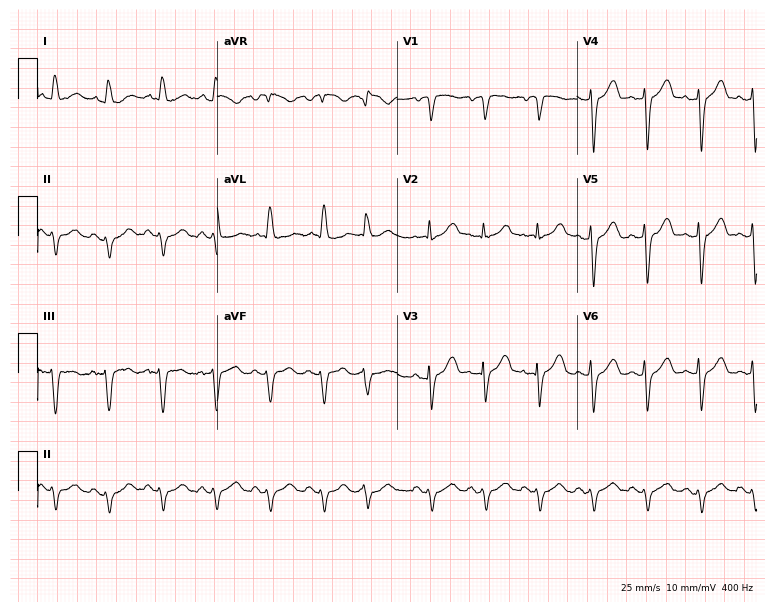
Resting 12-lead electrocardiogram. Patient: a male, 77 years old. The tracing shows sinus tachycardia (a sinus rate of 100 beats per minute or more).